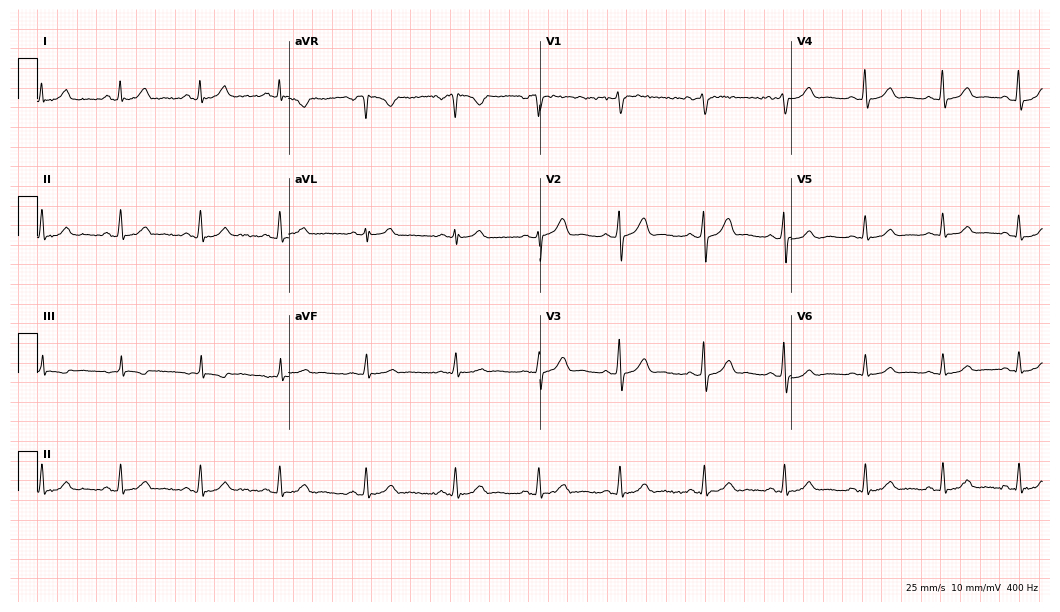
12-lead ECG from a 31-year-old female (10.2-second recording at 400 Hz). Recorded interpretation: within normal limits.